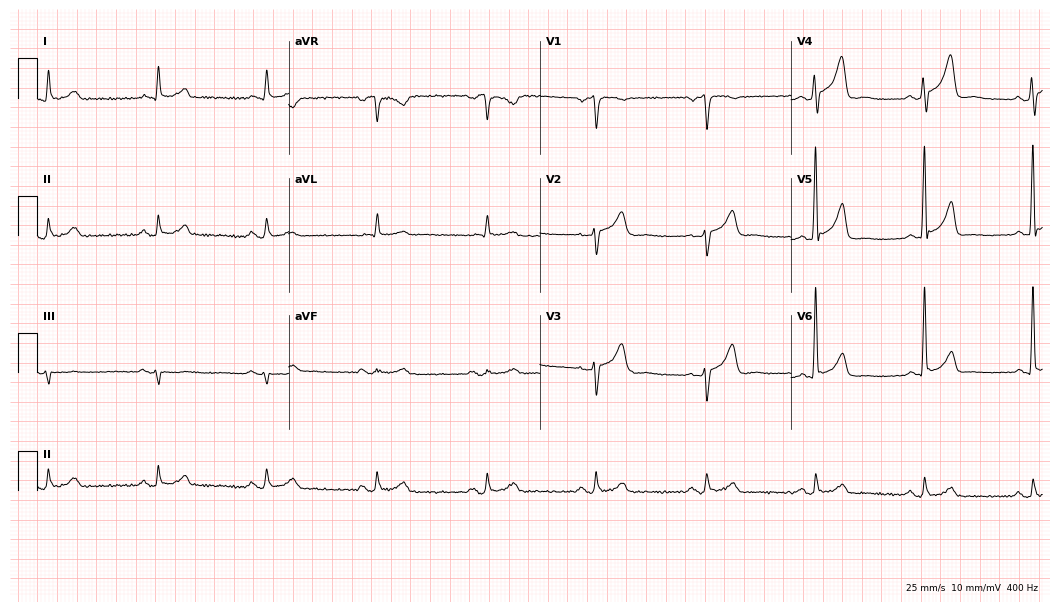
Electrocardiogram (10.2-second recording at 400 Hz), a male patient, 69 years old. Overall reading on record: normal ECG.